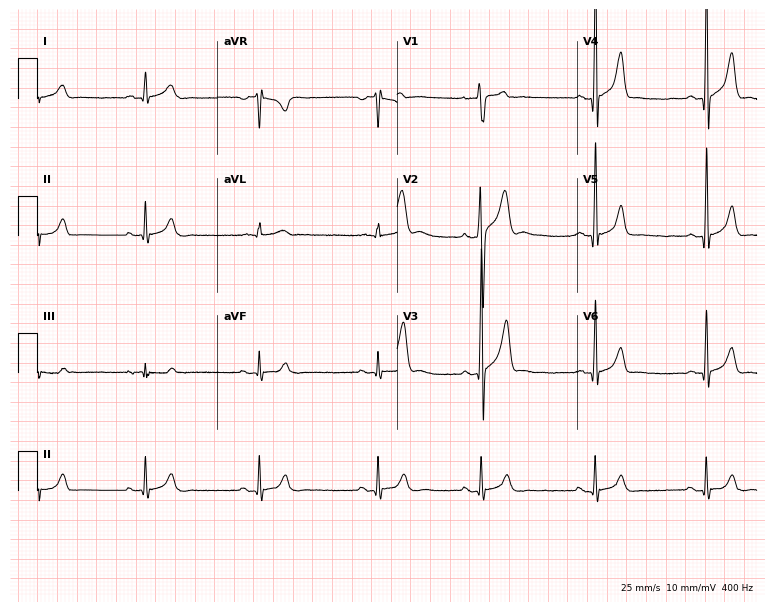
12-lead ECG from a 20-year-old male (7.3-second recording at 400 Hz). Recorded interpretation: within normal limits.